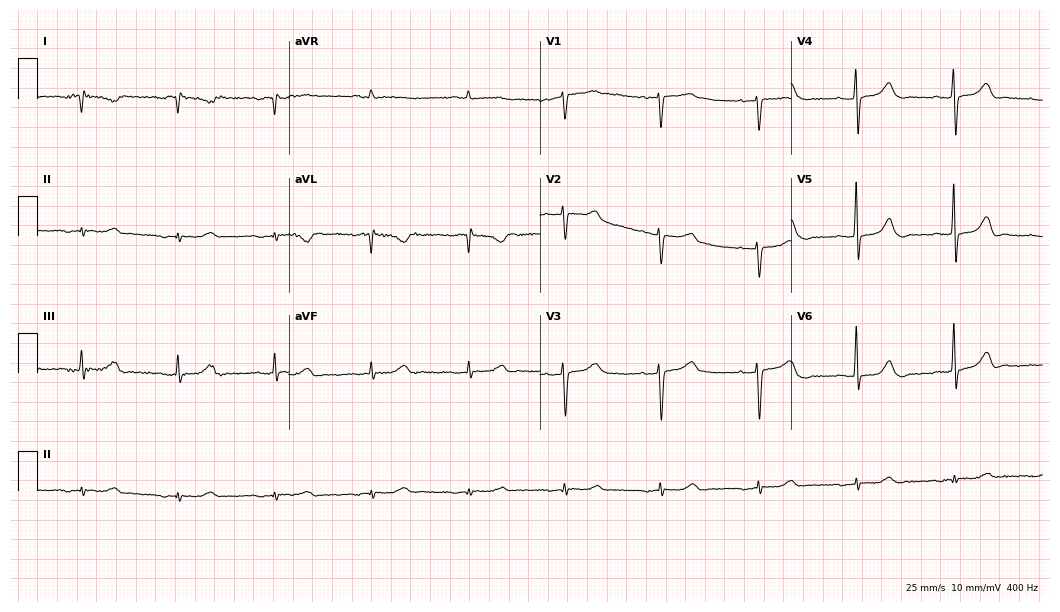
Resting 12-lead electrocardiogram. Patient: a female, 72 years old. None of these six findings is recorded: first-degree AV block, right bundle branch block, left bundle branch block, sinus bradycardia, atrial fibrillation, sinus tachycardia.